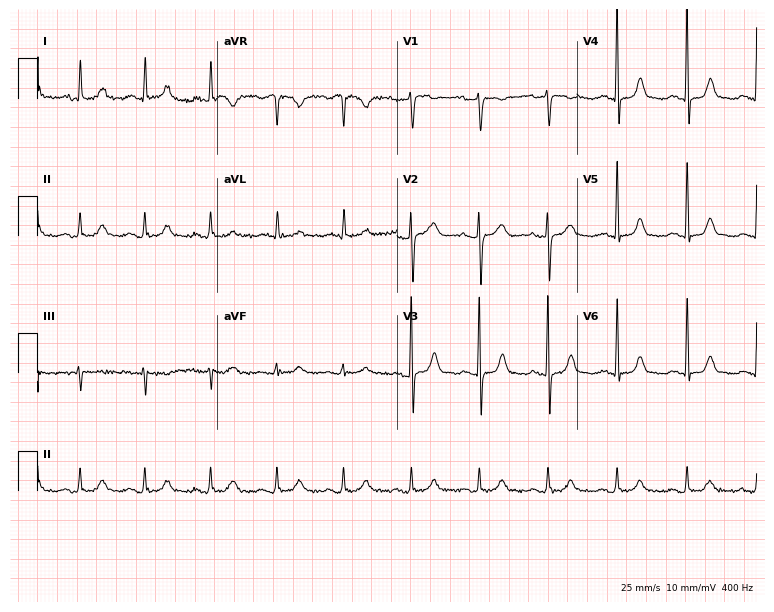
12-lead ECG (7.3-second recording at 400 Hz) from a woman, 70 years old. Screened for six findings — first-degree AV block, right bundle branch block, left bundle branch block, sinus bradycardia, atrial fibrillation, sinus tachycardia — none is recorded. Findings outside these six are not listed.